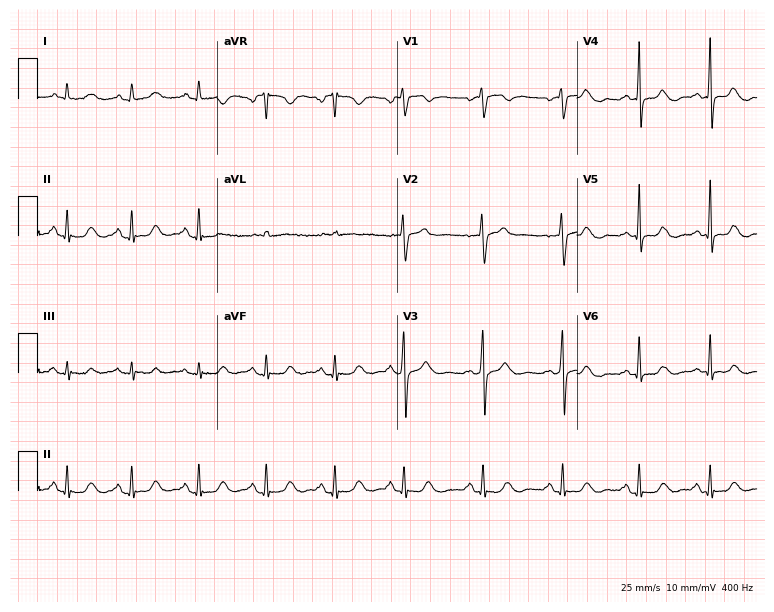
12-lead ECG from a female patient, 58 years old. Recorded interpretation: within normal limits.